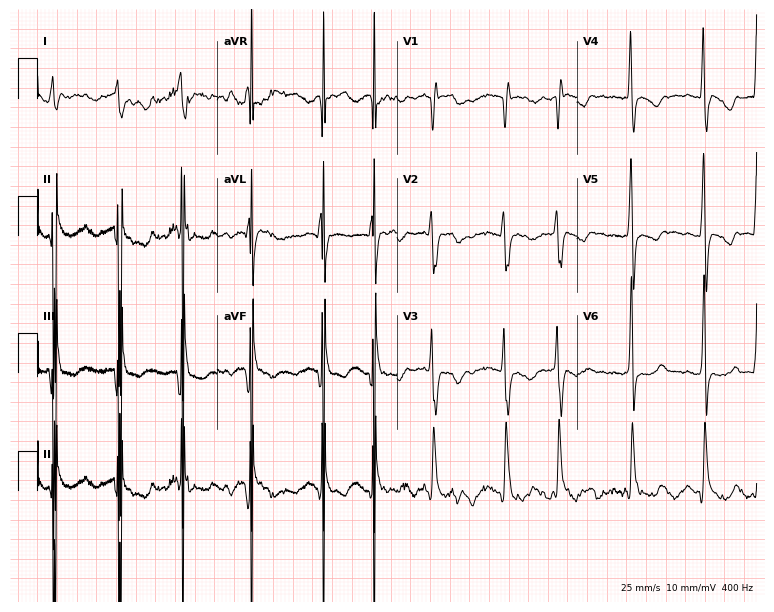
12-lead ECG from a female patient, 49 years old. Findings include atrial fibrillation.